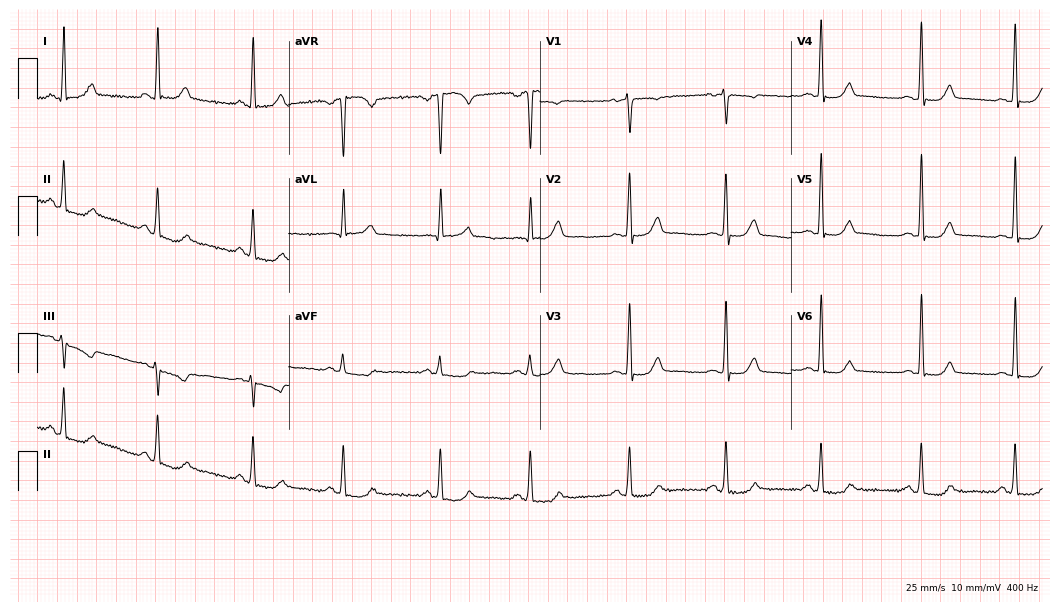
ECG (10.2-second recording at 400 Hz) — a 57-year-old female patient. Screened for six findings — first-degree AV block, right bundle branch block, left bundle branch block, sinus bradycardia, atrial fibrillation, sinus tachycardia — none is recorded.